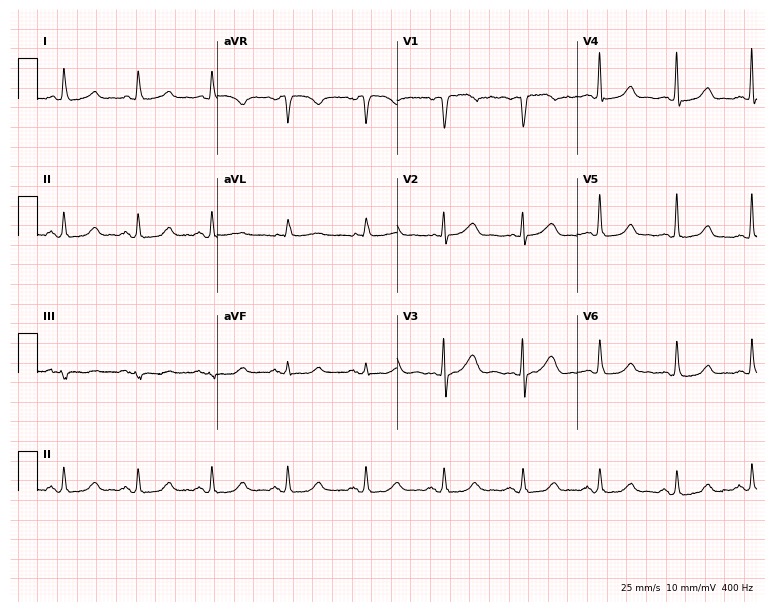
Electrocardiogram (7.3-second recording at 400 Hz), a woman, 63 years old. Overall reading on record: normal ECG.